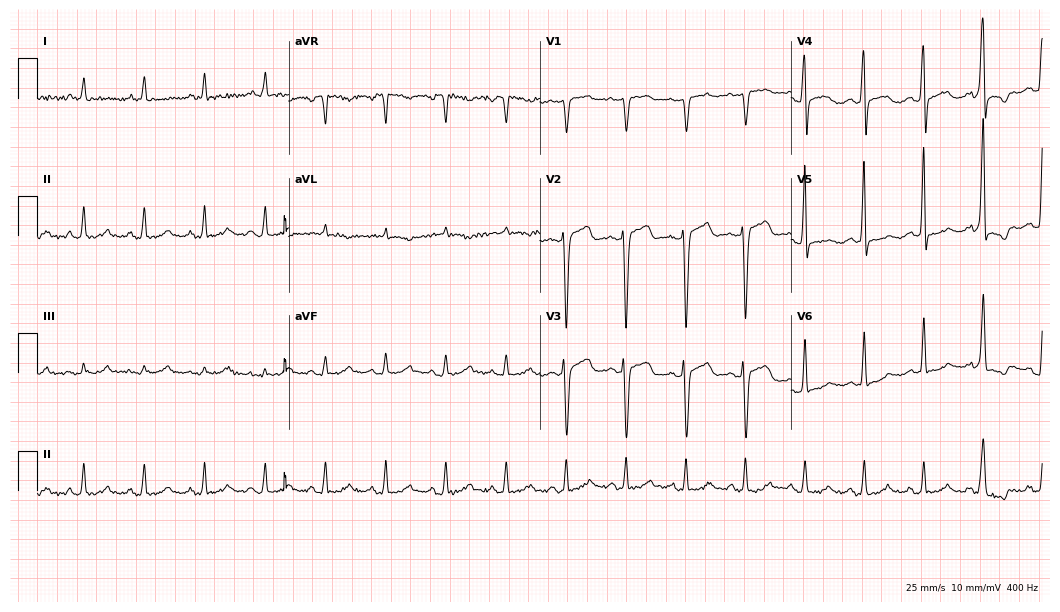
Standard 12-lead ECG recorded from a 53-year-old male patient. None of these six findings is recorded: first-degree AV block, right bundle branch block, left bundle branch block, sinus bradycardia, atrial fibrillation, sinus tachycardia. Other findings, if any, are not listed.